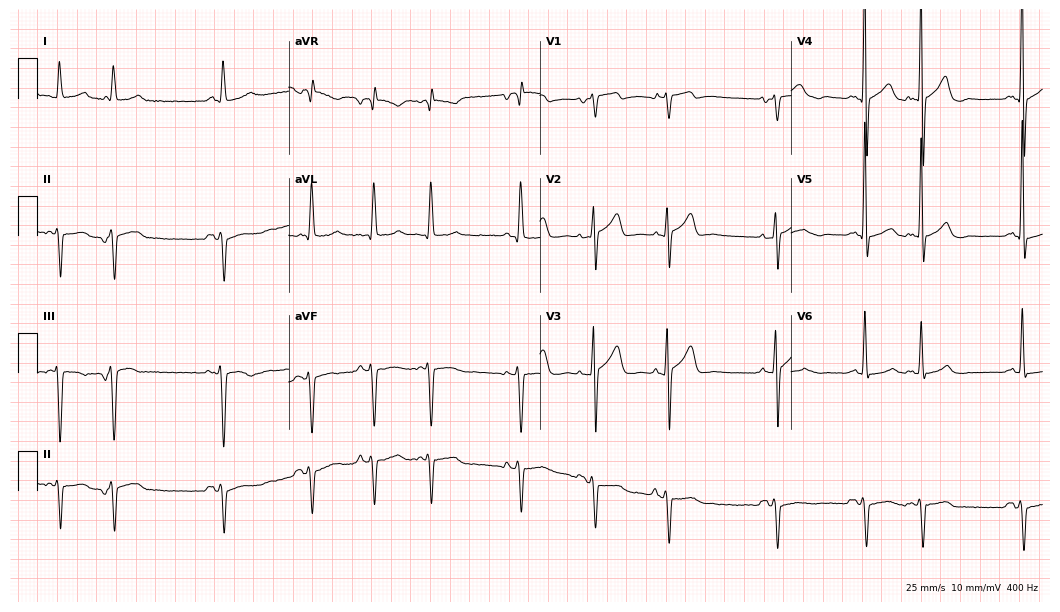
Standard 12-lead ECG recorded from a 69-year-old man. None of these six findings is recorded: first-degree AV block, right bundle branch block (RBBB), left bundle branch block (LBBB), sinus bradycardia, atrial fibrillation (AF), sinus tachycardia. Findings outside these six are not listed.